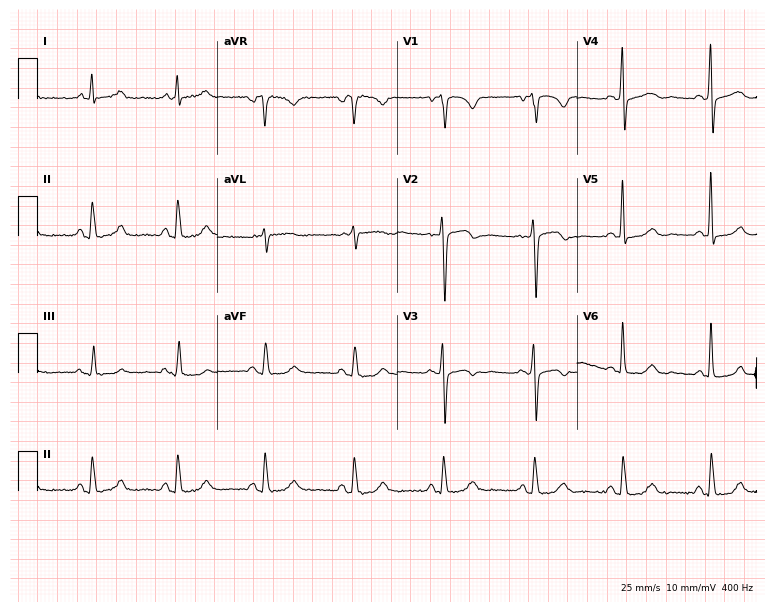
Standard 12-lead ECG recorded from a 58-year-old female (7.3-second recording at 400 Hz). None of these six findings is recorded: first-degree AV block, right bundle branch block, left bundle branch block, sinus bradycardia, atrial fibrillation, sinus tachycardia.